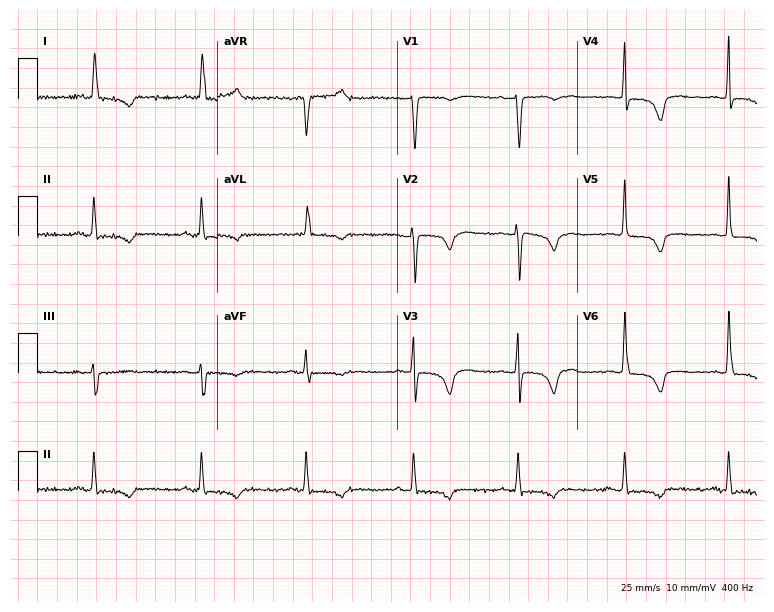
ECG (7.3-second recording at 400 Hz) — a female, 80 years old. Screened for six findings — first-degree AV block, right bundle branch block, left bundle branch block, sinus bradycardia, atrial fibrillation, sinus tachycardia — none is recorded.